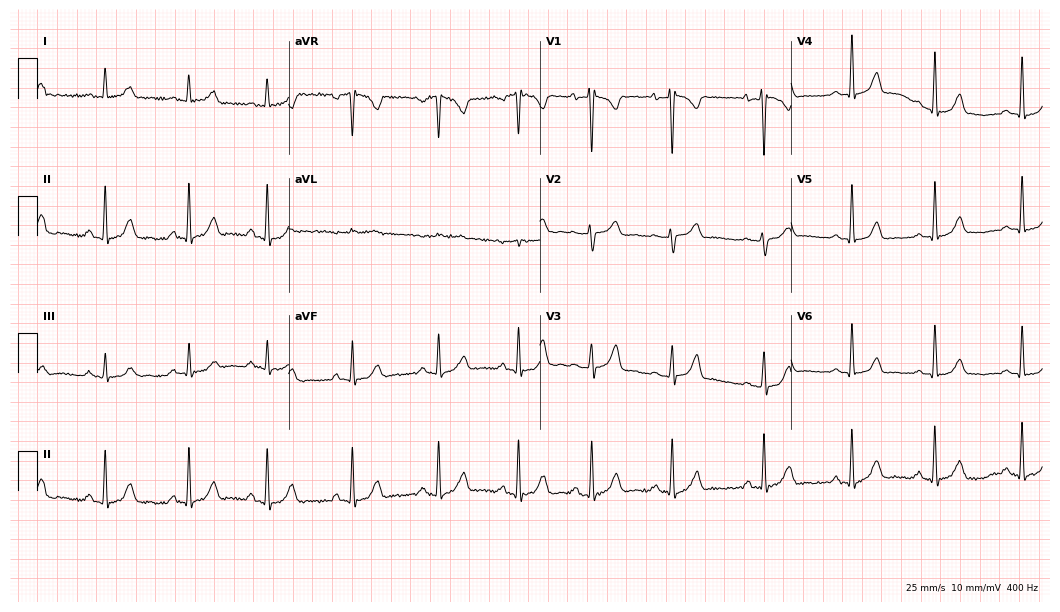
ECG (10.2-second recording at 400 Hz) — a 21-year-old female. Labelled as a normal ECG.